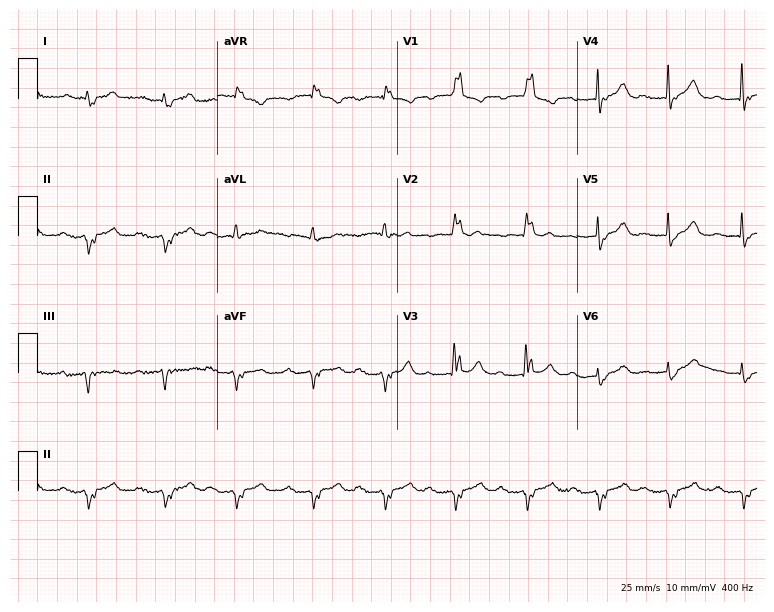
Electrocardiogram (7.3-second recording at 400 Hz), a male, 79 years old. Interpretation includes first-degree AV block, right bundle branch block.